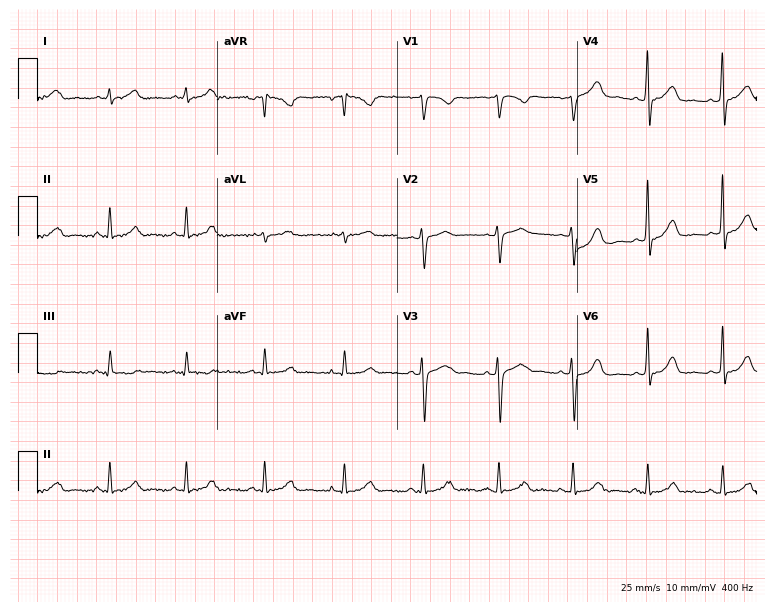
ECG (7.3-second recording at 400 Hz) — a woman, 32 years old. Screened for six findings — first-degree AV block, right bundle branch block, left bundle branch block, sinus bradycardia, atrial fibrillation, sinus tachycardia — none is recorded. Only these six findings were labelled.